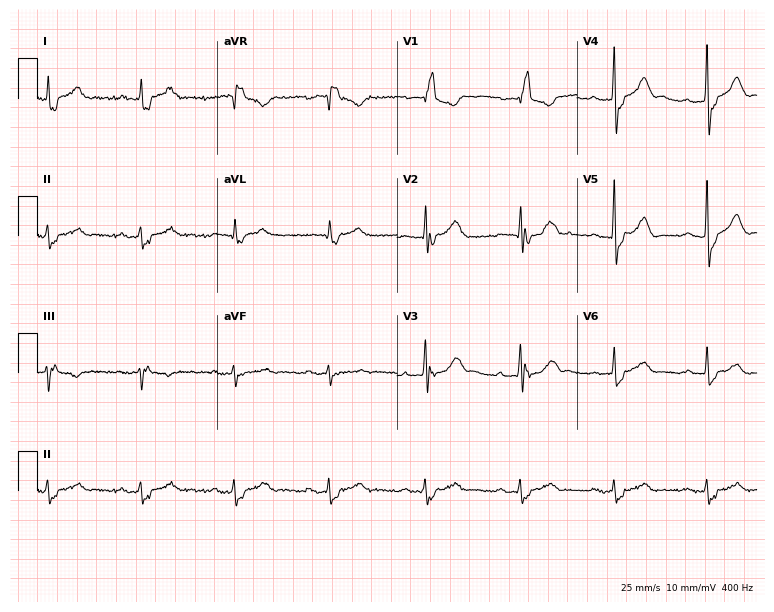
Electrocardiogram (7.3-second recording at 400 Hz), a 75-year-old man. Interpretation includes first-degree AV block, right bundle branch block (RBBB).